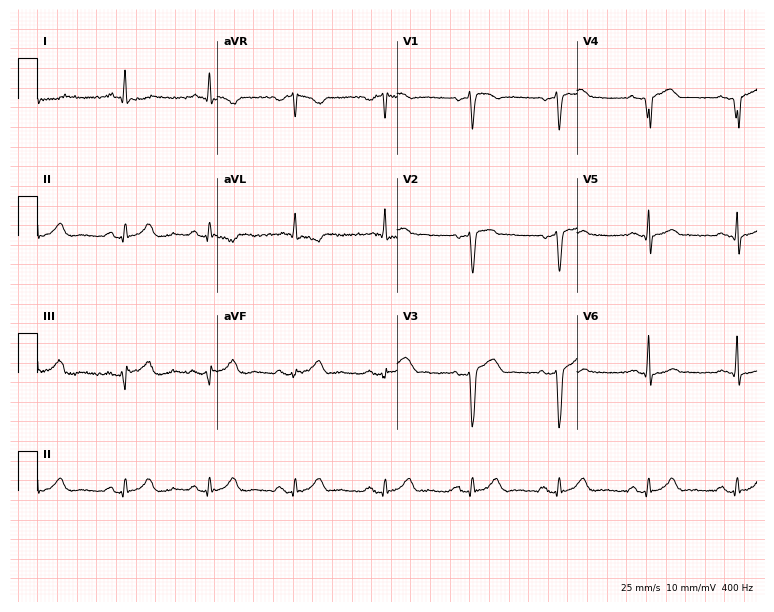
Electrocardiogram (7.3-second recording at 400 Hz), a 40-year-old male patient. Of the six screened findings (first-degree AV block, right bundle branch block, left bundle branch block, sinus bradycardia, atrial fibrillation, sinus tachycardia), none is recorded.